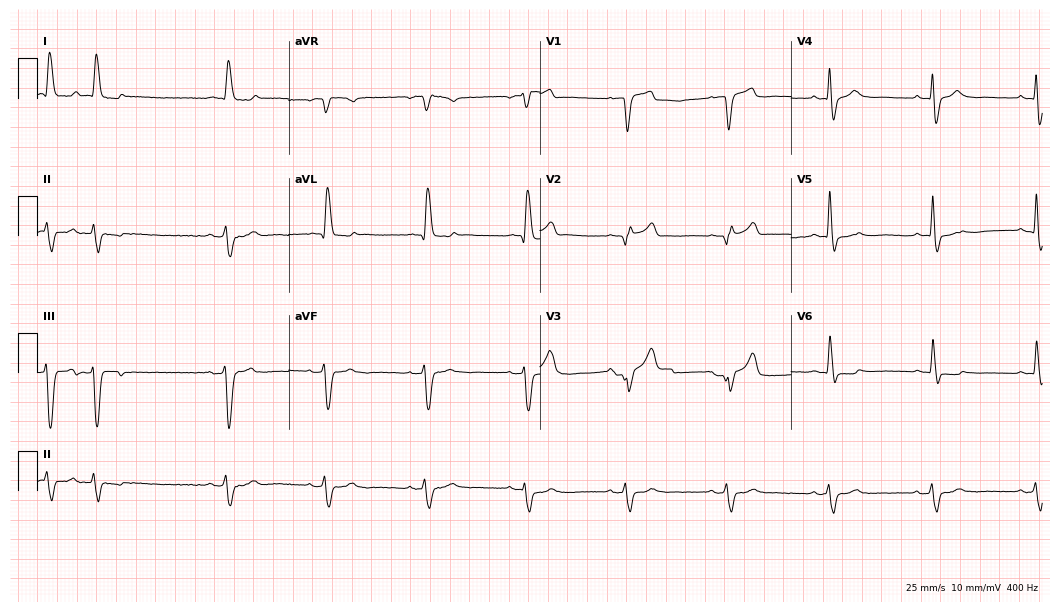
12-lead ECG from a man, 85 years old (10.2-second recording at 400 Hz). Shows right bundle branch block.